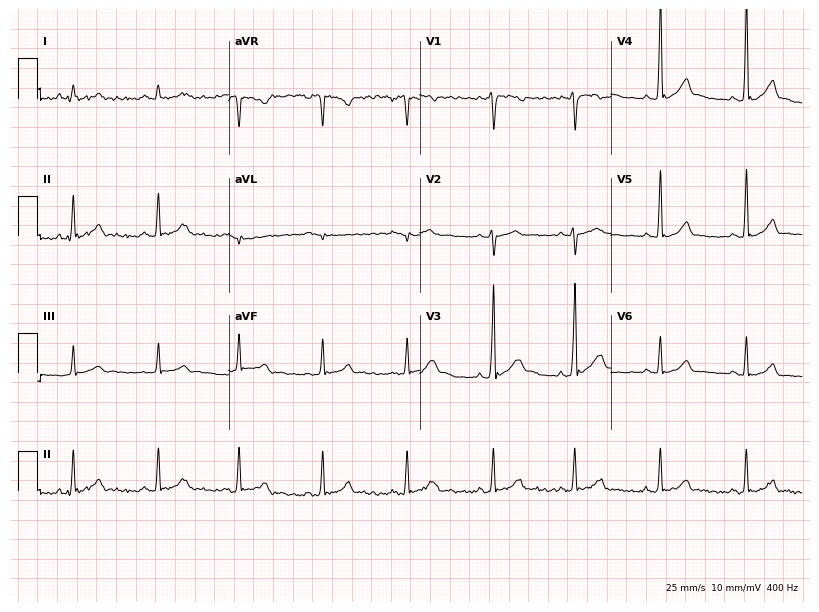
Electrocardiogram (7.8-second recording at 400 Hz), a 27-year-old man. Of the six screened findings (first-degree AV block, right bundle branch block (RBBB), left bundle branch block (LBBB), sinus bradycardia, atrial fibrillation (AF), sinus tachycardia), none is recorded. Other findings, if any, are not listed.